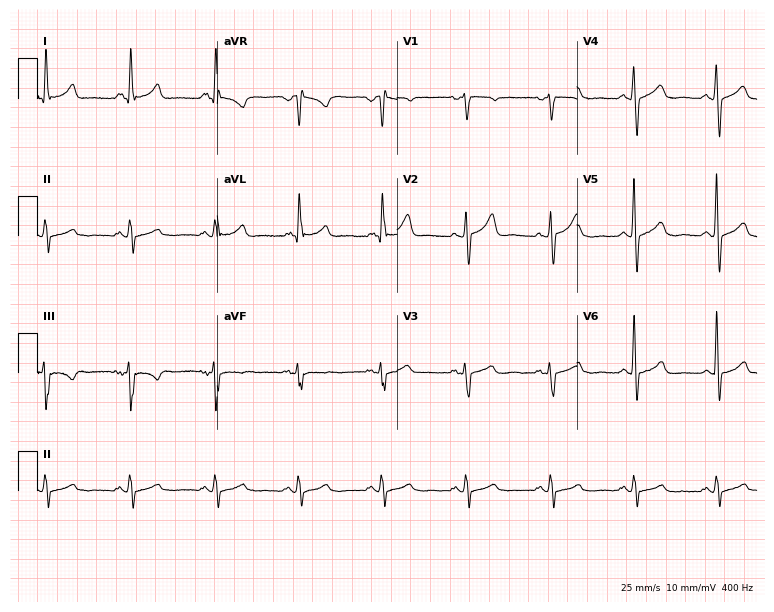
Standard 12-lead ECG recorded from a female patient, 71 years old (7.3-second recording at 400 Hz). Read as a normal ECG.